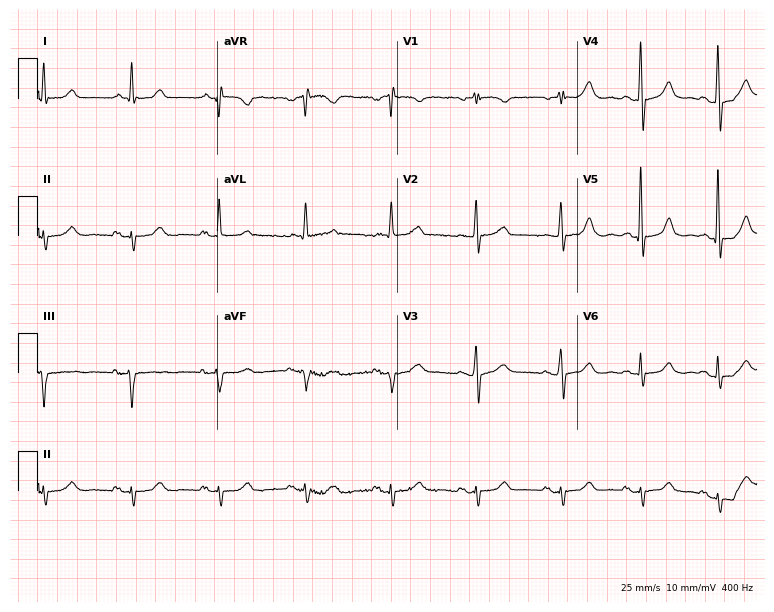
12-lead ECG from a male, 65 years old. No first-degree AV block, right bundle branch block, left bundle branch block, sinus bradycardia, atrial fibrillation or sinus tachycardia recorded for this tracing. Only these six findings were labelled.